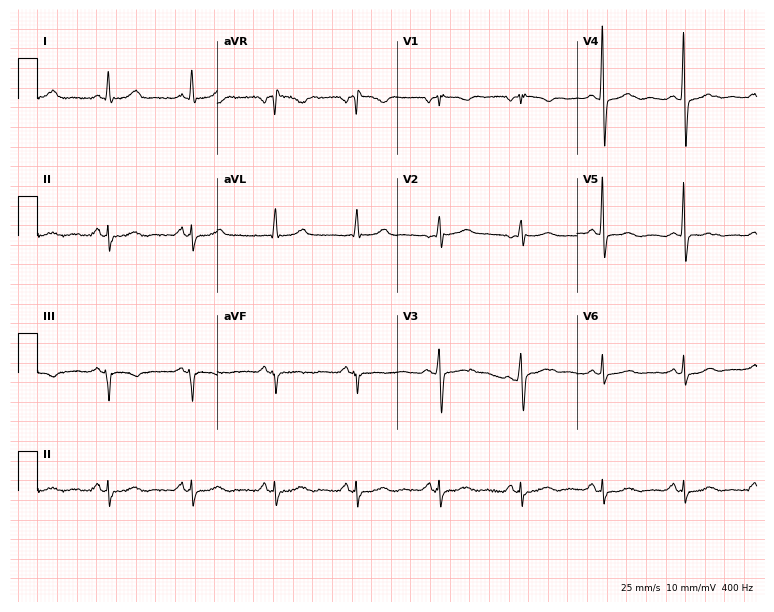
Resting 12-lead electrocardiogram (7.3-second recording at 400 Hz). Patient: a 65-year-old female. None of these six findings is recorded: first-degree AV block, right bundle branch block (RBBB), left bundle branch block (LBBB), sinus bradycardia, atrial fibrillation (AF), sinus tachycardia.